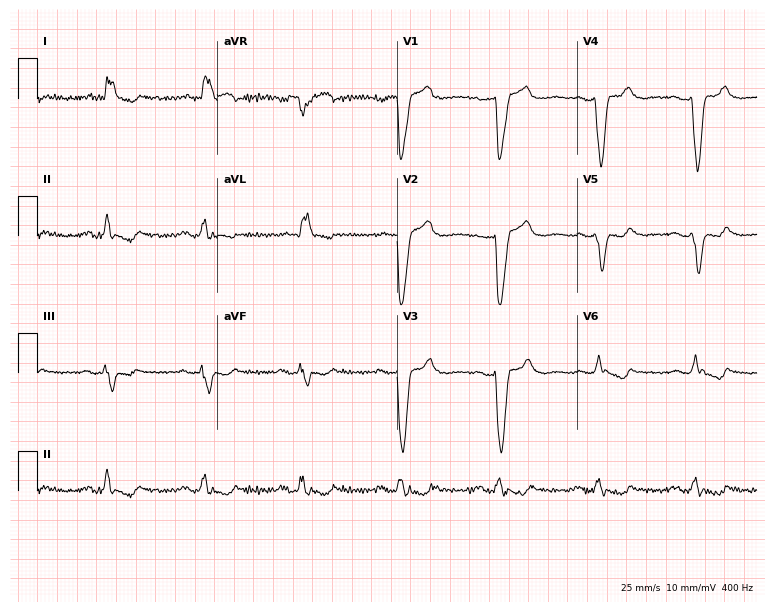
Resting 12-lead electrocardiogram. Patient: a 70-year-old female. None of these six findings is recorded: first-degree AV block, right bundle branch block (RBBB), left bundle branch block (LBBB), sinus bradycardia, atrial fibrillation (AF), sinus tachycardia. Only these six findings were labelled.